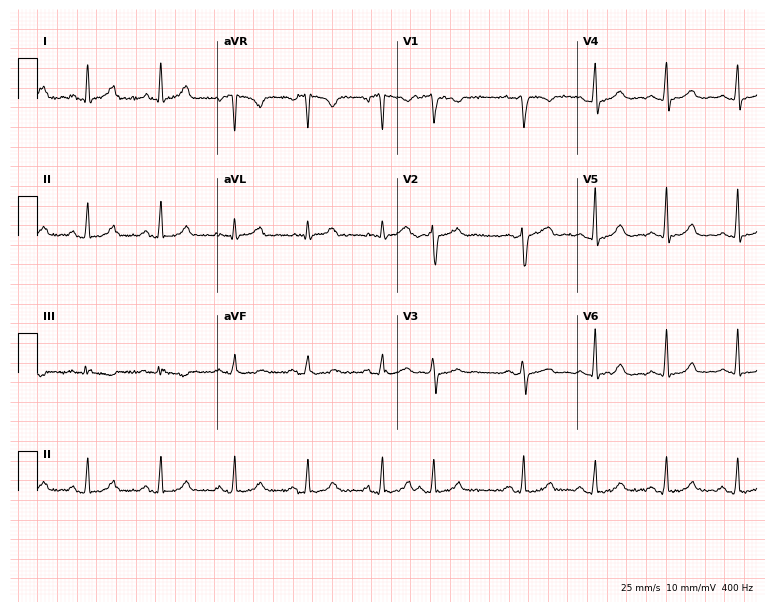
12-lead ECG (7.3-second recording at 400 Hz) from a female patient, 33 years old. Screened for six findings — first-degree AV block, right bundle branch block (RBBB), left bundle branch block (LBBB), sinus bradycardia, atrial fibrillation (AF), sinus tachycardia — none is recorded. Only these six findings were labelled.